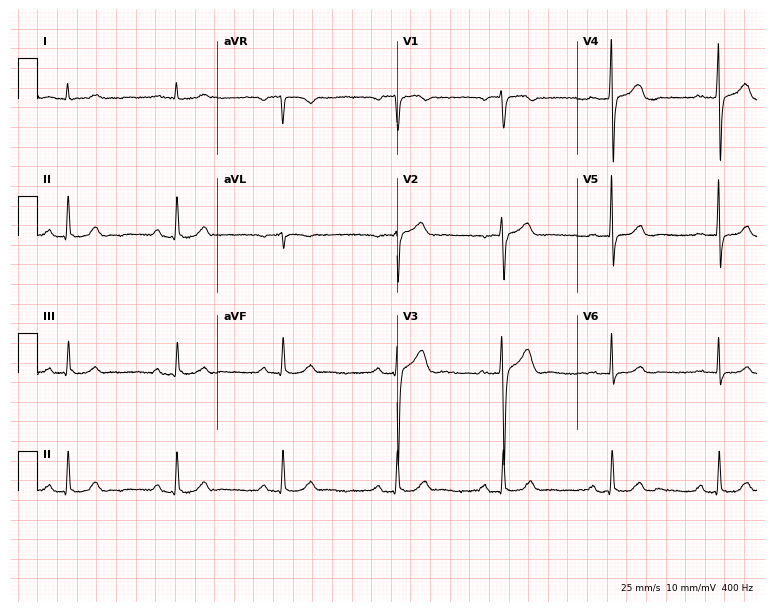
ECG (7.3-second recording at 400 Hz) — a 53-year-old male patient. Findings include first-degree AV block.